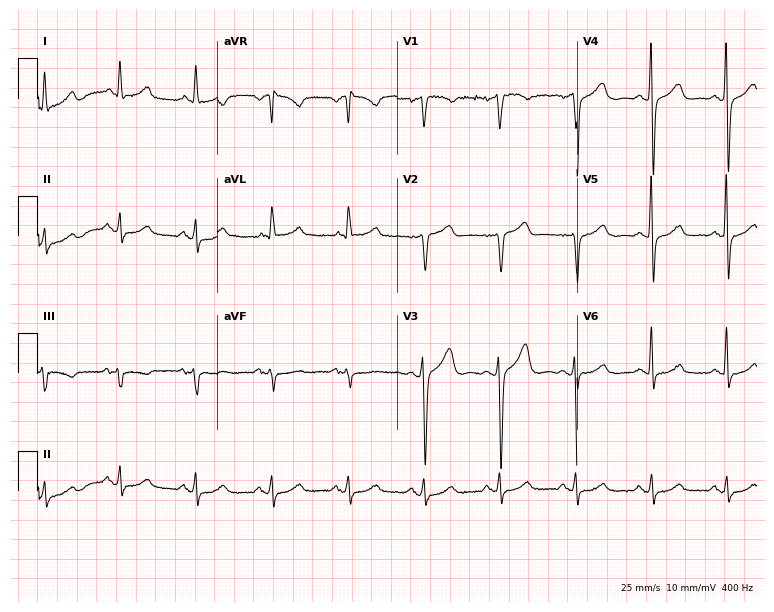
ECG (7.3-second recording at 400 Hz) — a 63-year-old male patient. Screened for six findings — first-degree AV block, right bundle branch block, left bundle branch block, sinus bradycardia, atrial fibrillation, sinus tachycardia — none is recorded. Findings outside these six are not listed.